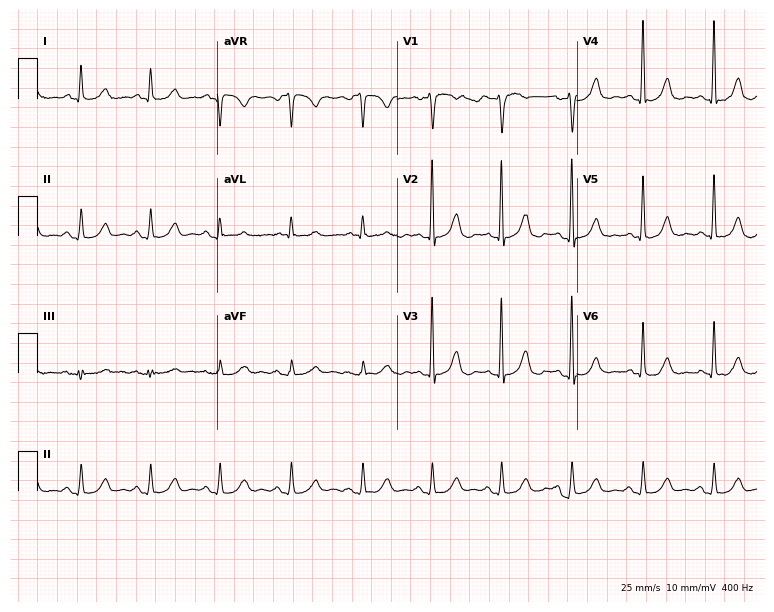
12-lead ECG from a 60-year-old man. Labelled as a normal ECG.